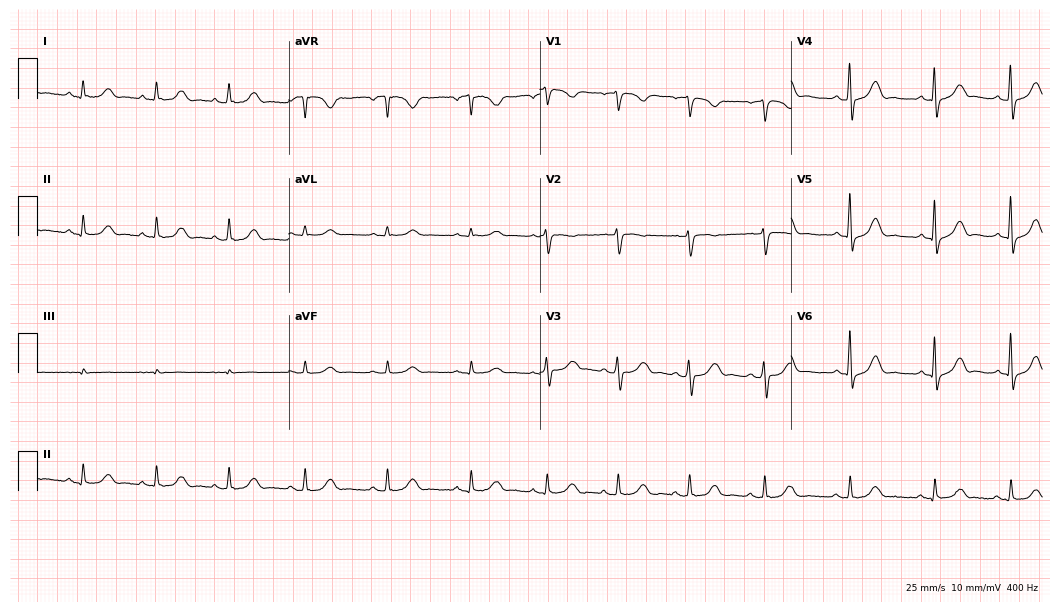
12-lead ECG from a woman, 53 years old. Labelled as a normal ECG.